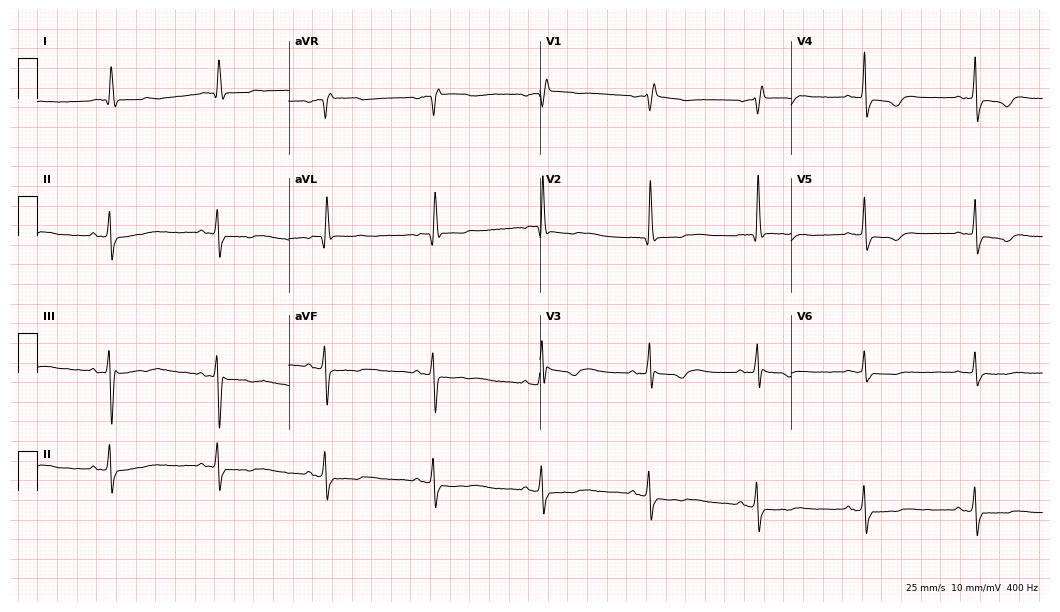
Electrocardiogram (10.2-second recording at 400 Hz), a woman, 82 years old. Interpretation includes right bundle branch block (RBBB).